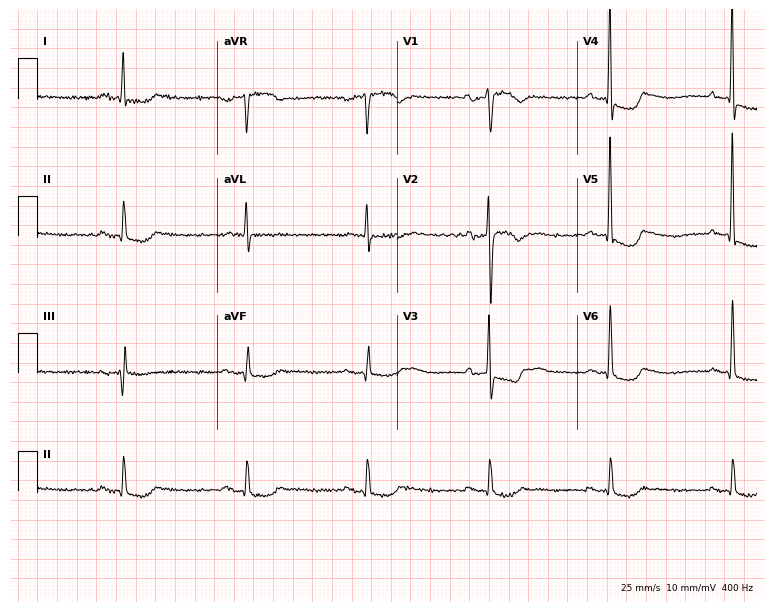
12-lead ECG from a 66-year-old man (7.3-second recording at 400 Hz). Shows right bundle branch block, sinus bradycardia (a sinus rate of 50 beats per minute or less).